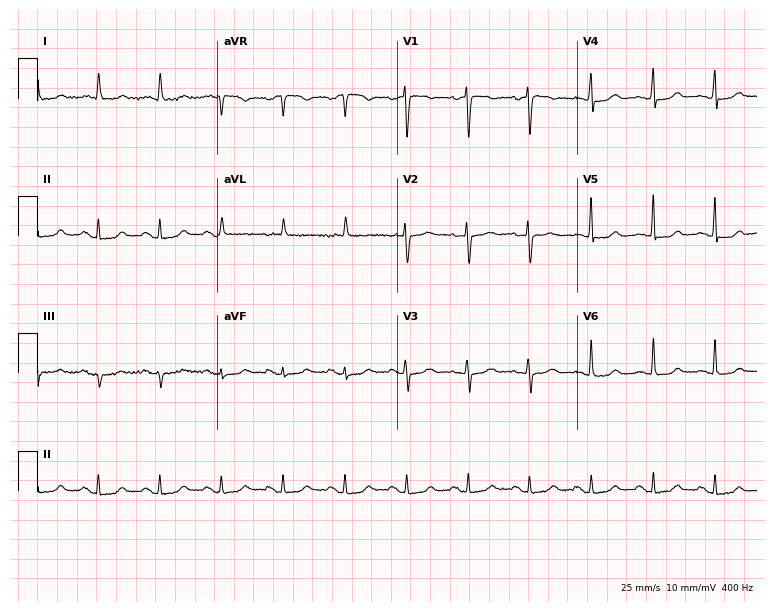
12-lead ECG from a 68-year-old female patient (7.3-second recording at 400 Hz). Recorded interpretation: within normal limits.